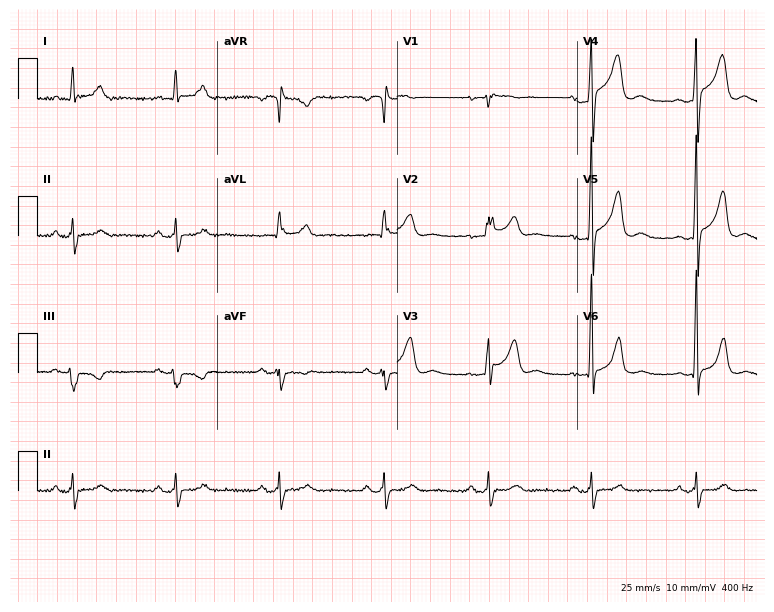
12-lead ECG from a 50-year-old male patient (7.3-second recording at 400 Hz). Recorded interpretation: within normal limits.